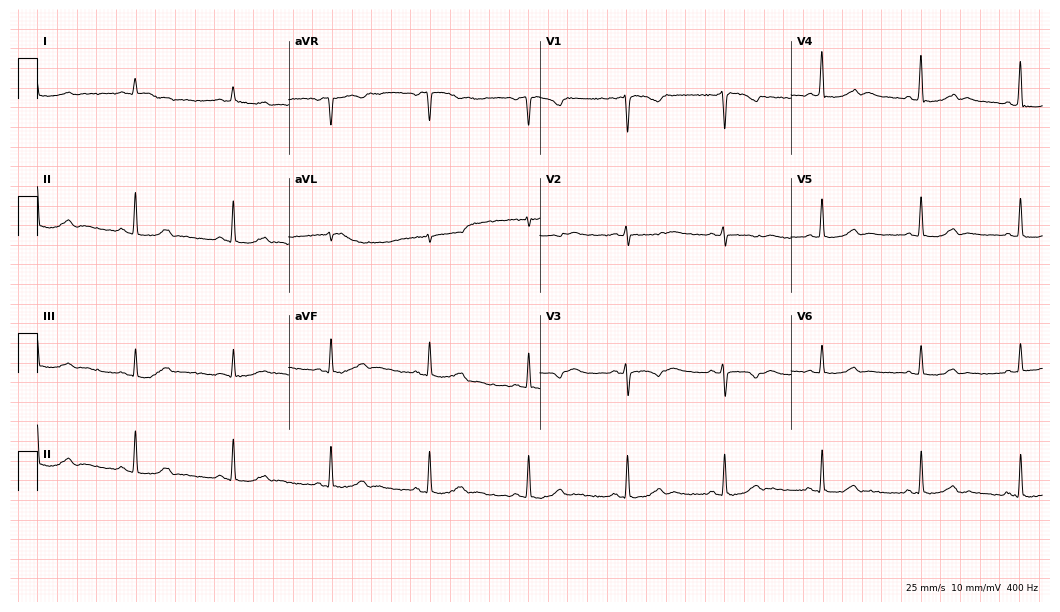
ECG (10.2-second recording at 400 Hz) — a 44-year-old female. Labelled as a normal ECG.